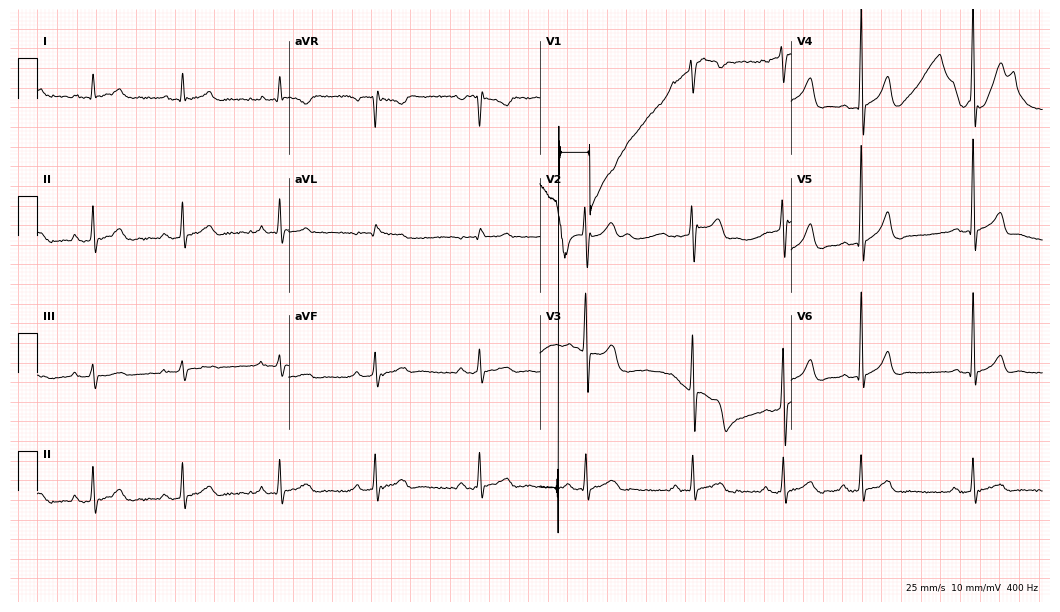
12-lead ECG from a male, 37 years old (10.2-second recording at 400 Hz). Recorded interpretation: within normal limits.